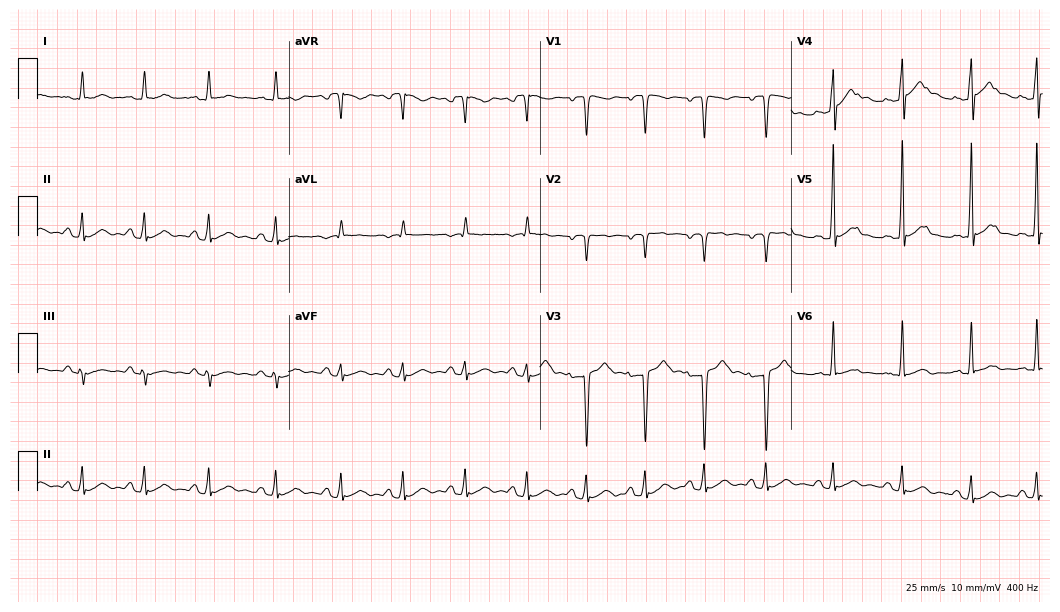
Standard 12-lead ECG recorded from a 22-year-old male patient. None of these six findings is recorded: first-degree AV block, right bundle branch block, left bundle branch block, sinus bradycardia, atrial fibrillation, sinus tachycardia. Findings outside these six are not listed.